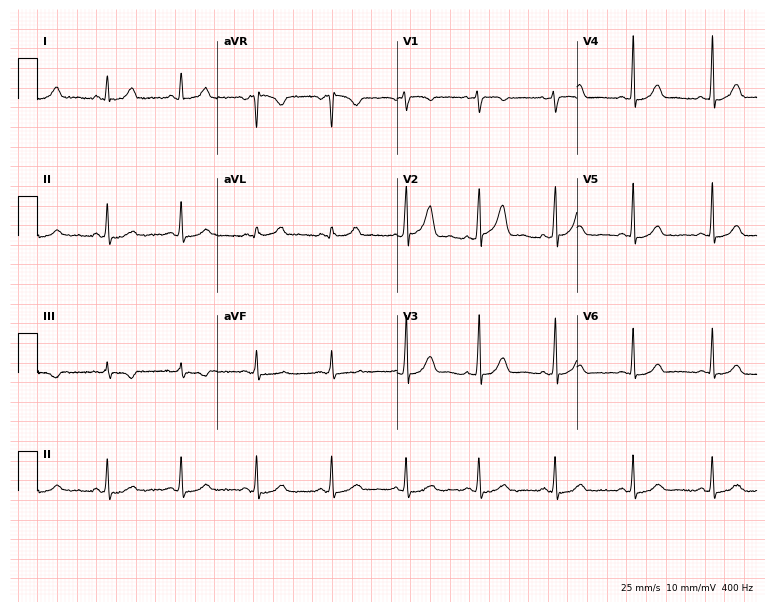
Standard 12-lead ECG recorded from a female, 31 years old (7.3-second recording at 400 Hz). Read as a normal ECG.